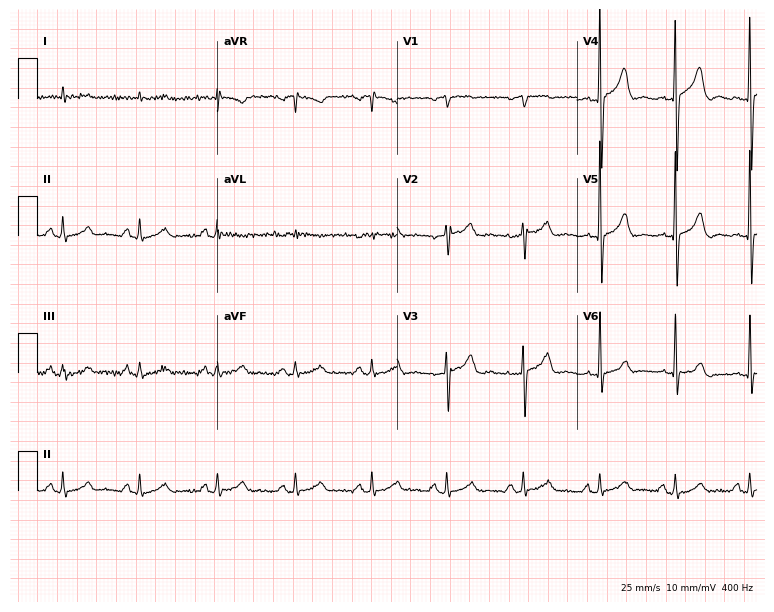
Resting 12-lead electrocardiogram. Patient: a male, 79 years old. None of these six findings is recorded: first-degree AV block, right bundle branch block, left bundle branch block, sinus bradycardia, atrial fibrillation, sinus tachycardia.